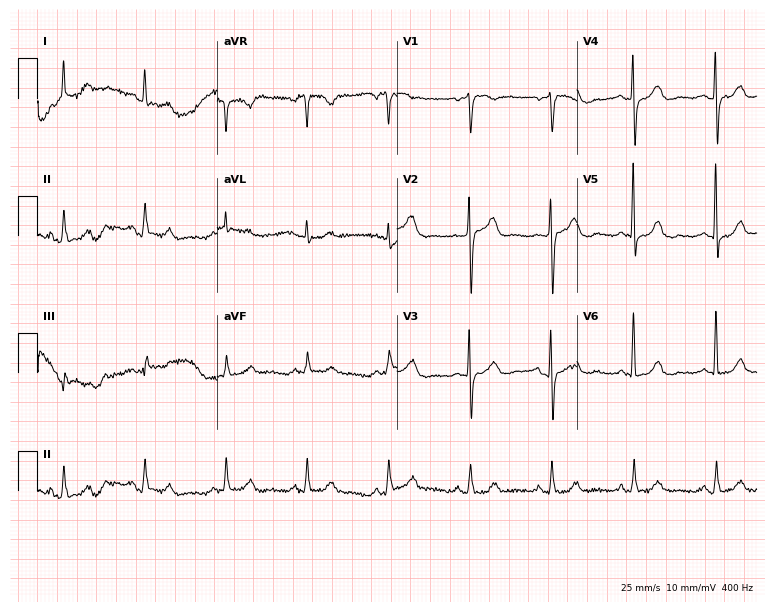
12-lead ECG (7.3-second recording at 400 Hz) from a 74-year-old man. Screened for six findings — first-degree AV block, right bundle branch block (RBBB), left bundle branch block (LBBB), sinus bradycardia, atrial fibrillation (AF), sinus tachycardia — none is recorded.